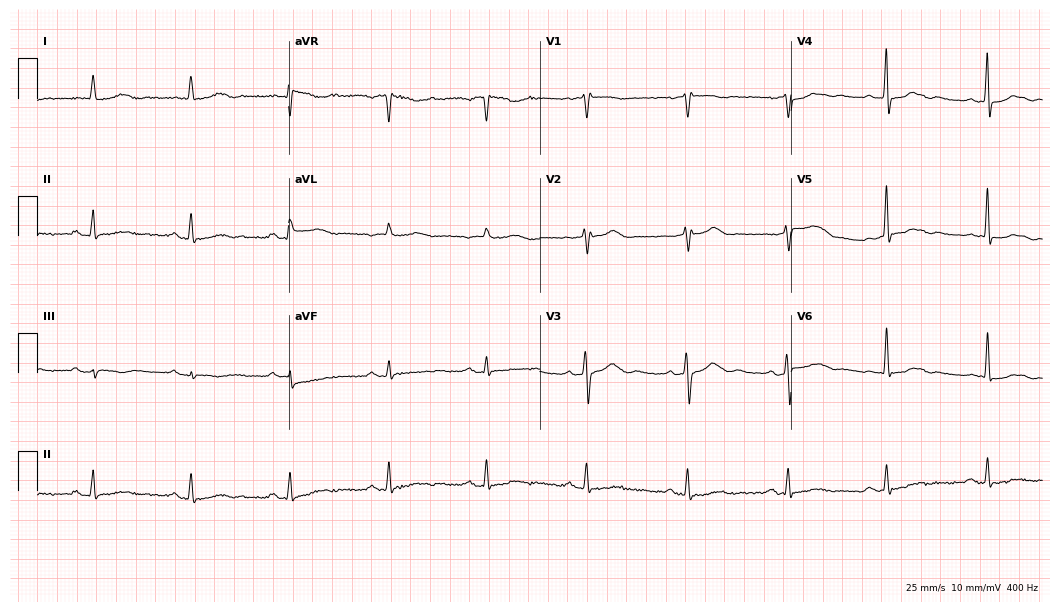
Standard 12-lead ECG recorded from a 47-year-old female (10.2-second recording at 400 Hz). None of these six findings is recorded: first-degree AV block, right bundle branch block (RBBB), left bundle branch block (LBBB), sinus bradycardia, atrial fibrillation (AF), sinus tachycardia.